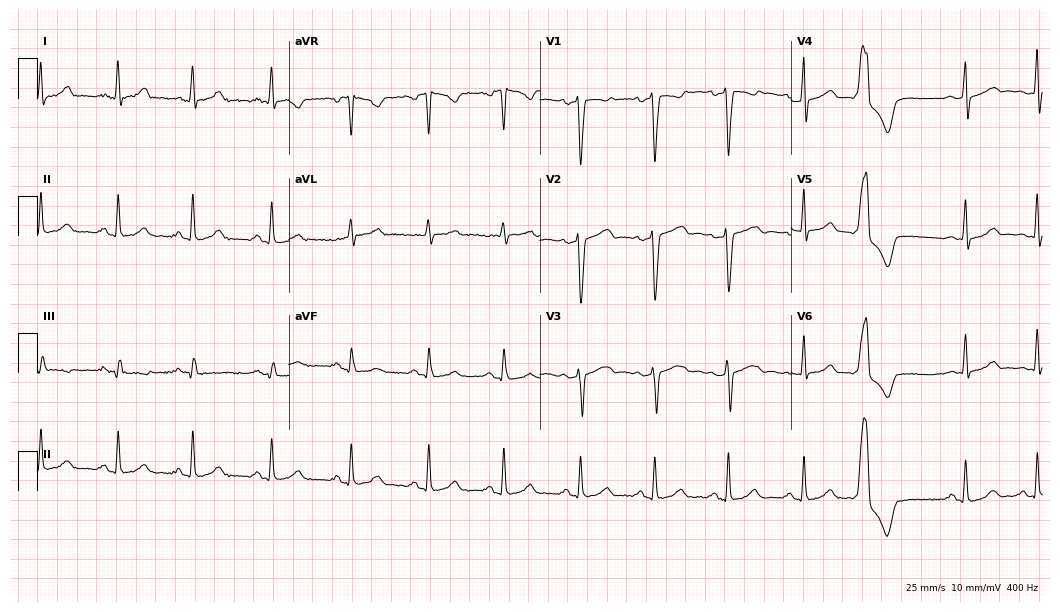
12-lead ECG from a female, 29 years old (10.2-second recording at 400 Hz). No first-degree AV block, right bundle branch block (RBBB), left bundle branch block (LBBB), sinus bradycardia, atrial fibrillation (AF) or sinus tachycardia recorded for this tracing. Other findings, if any, are not listed.